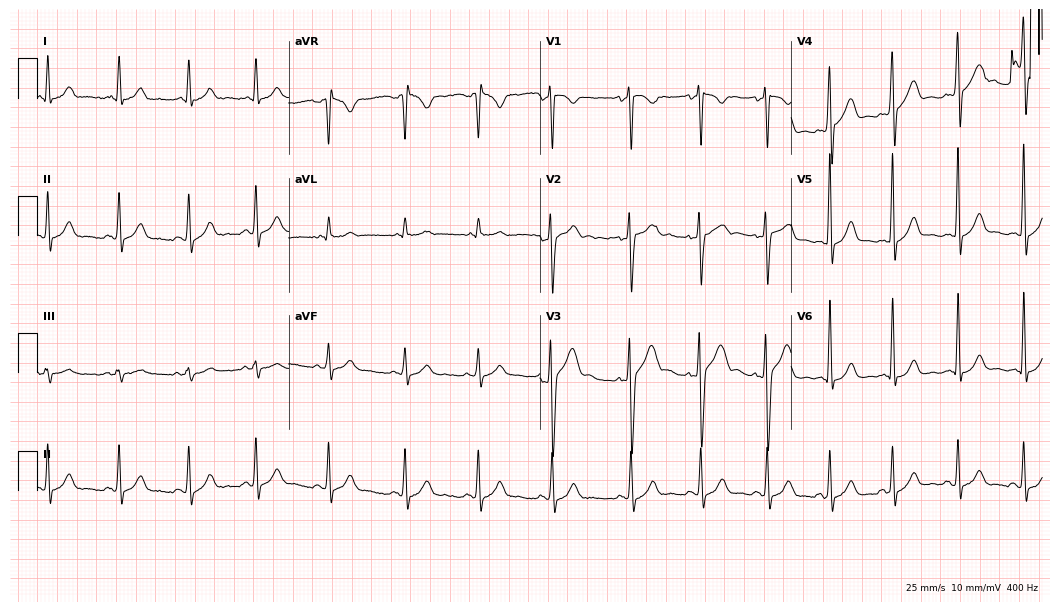
Resting 12-lead electrocardiogram (10.2-second recording at 400 Hz). Patient: a 31-year-old male. Read as a normal ECG.